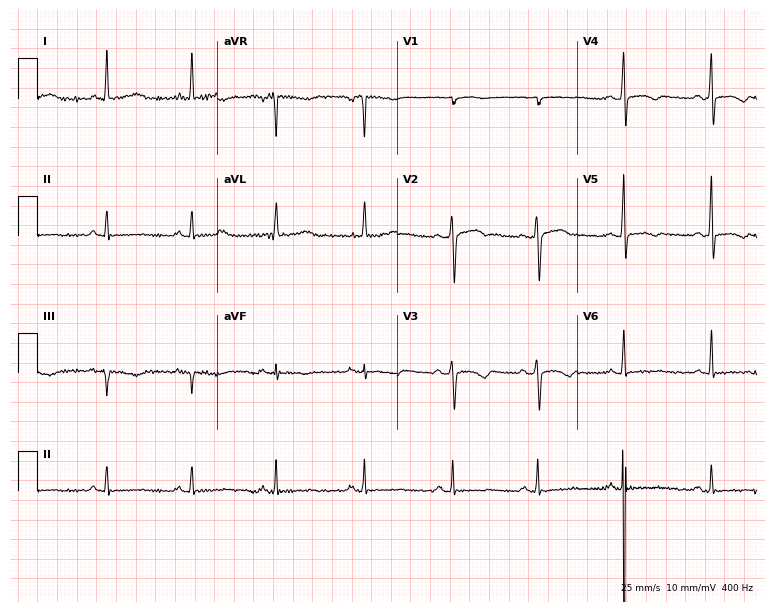
Standard 12-lead ECG recorded from a 46-year-old female patient. None of these six findings is recorded: first-degree AV block, right bundle branch block, left bundle branch block, sinus bradycardia, atrial fibrillation, sinus tachycardia. Other findings, if any, are not listed.